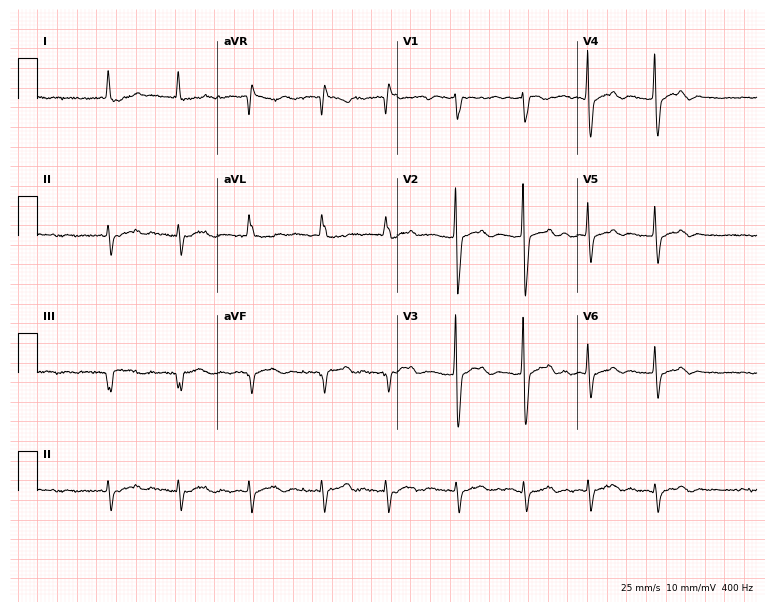
ECG (7.3-second recording at 400 Hz) — a 76-year-old male patient. Findings include atrial fibrillation (AF).